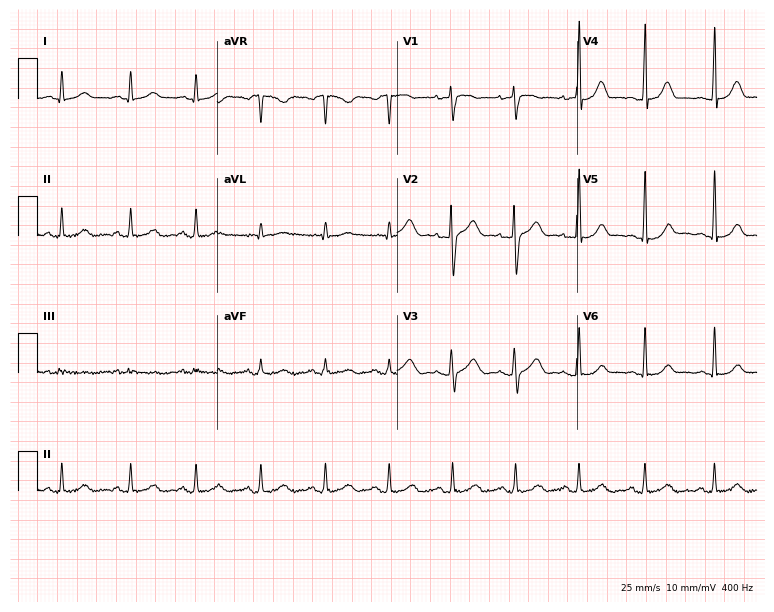
12-lead ECG from a female patient, 36 years old. Recorded interpretation: within normal limits.